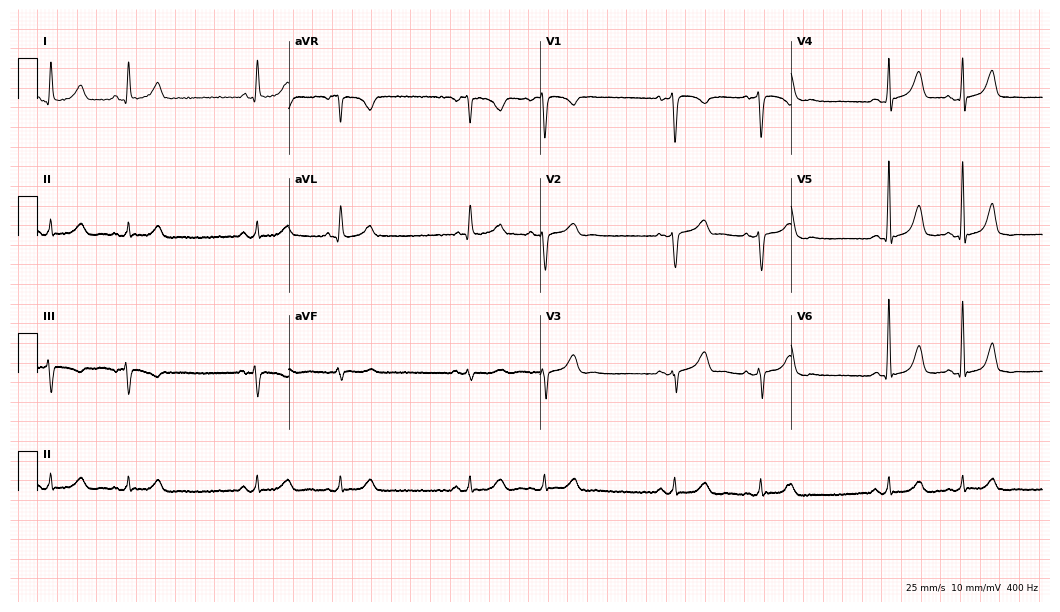
Standard 12-lead ECG recorded from a female, 63 years old (10.2-second recording at 400 Hz). None of these six findings is recorded: first-degree AV block, right bundle branch block, left bundle branch block, sinus bradycardia, atrial fibrillation, sinus tachycardia.